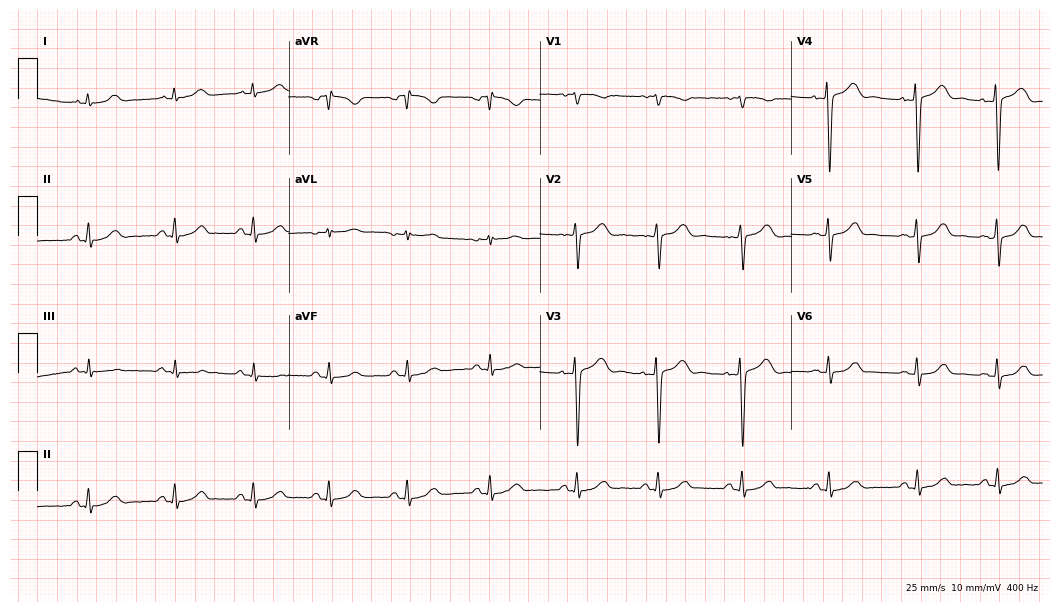
12-lead ECG (10.2-second recording at 400 Hz) from a 29-year-old female patient. Labelled as a normal ECG.